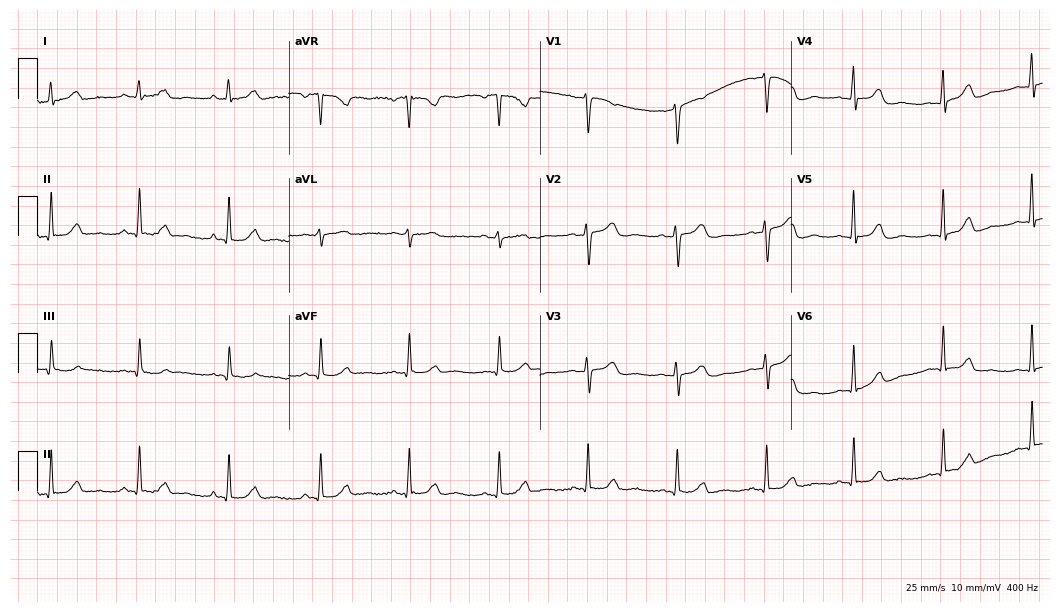
12-lead ECG from a 65-year-old woman (10.2-second recording at 400 Hz). Recorded interpretation: within normal limits.